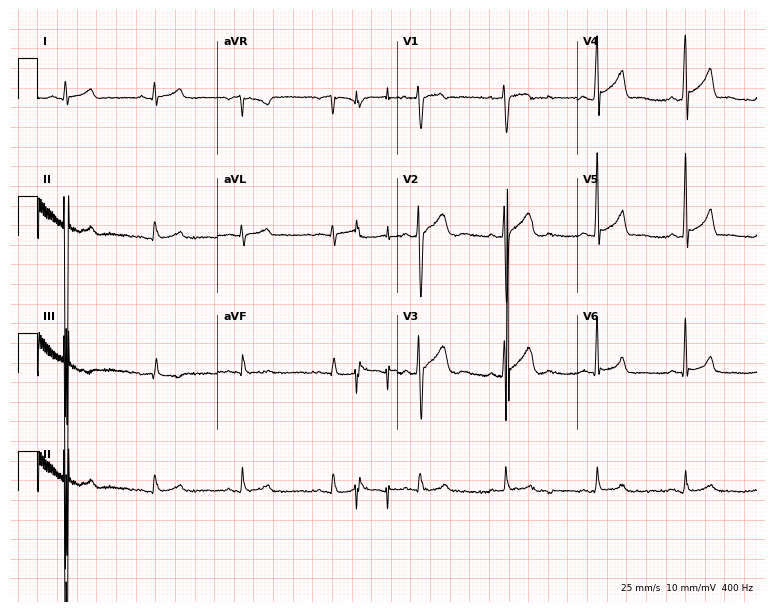
Standard 12-lead ECG recorded from a 26-year-old man (7.3-second recording at 400 Hz). Read as a normal ECG.